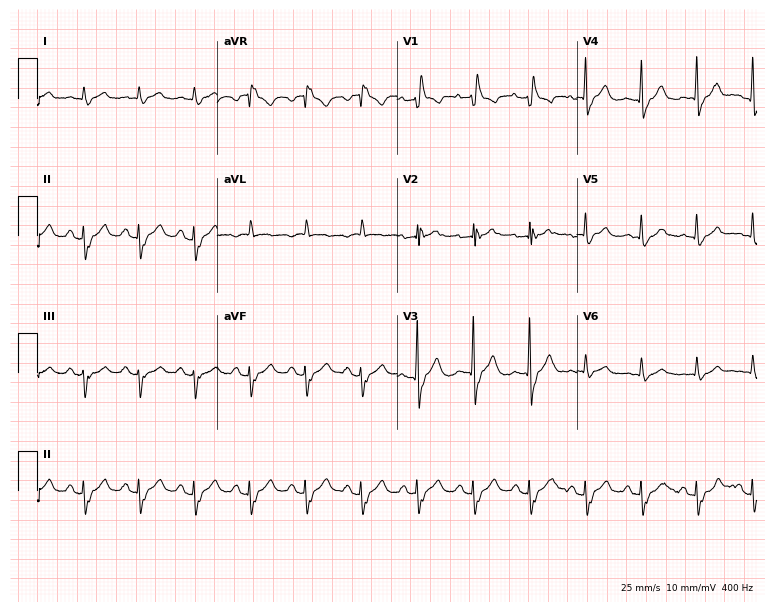
12-lead ECG from a male, 76 years old. No first-degree AV block, right bundle branch block (RBBB), left bundle branch block (LBBB), sinus bradycardia, atrial fibrillation (AF) or sinus tachycardia recorded for this tracing.